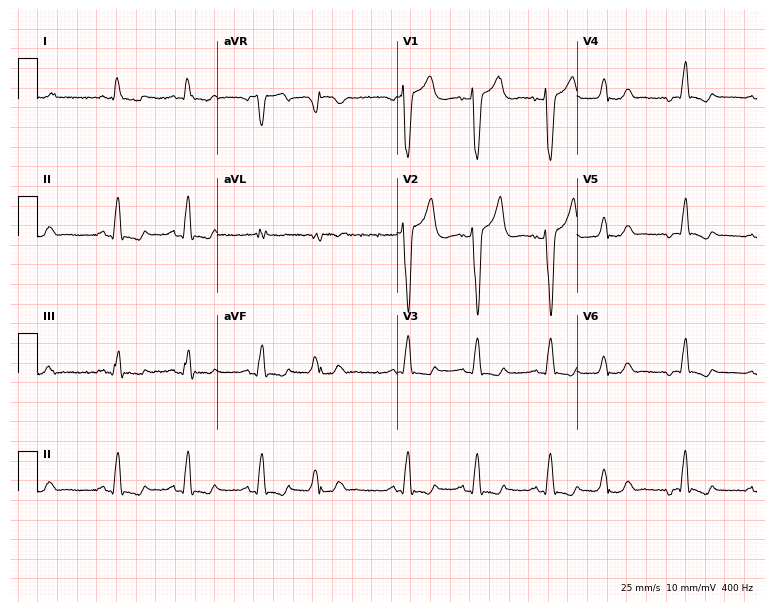
ECG — a female patient, 85 years old. Findings include left bundle branch block (LBBB).